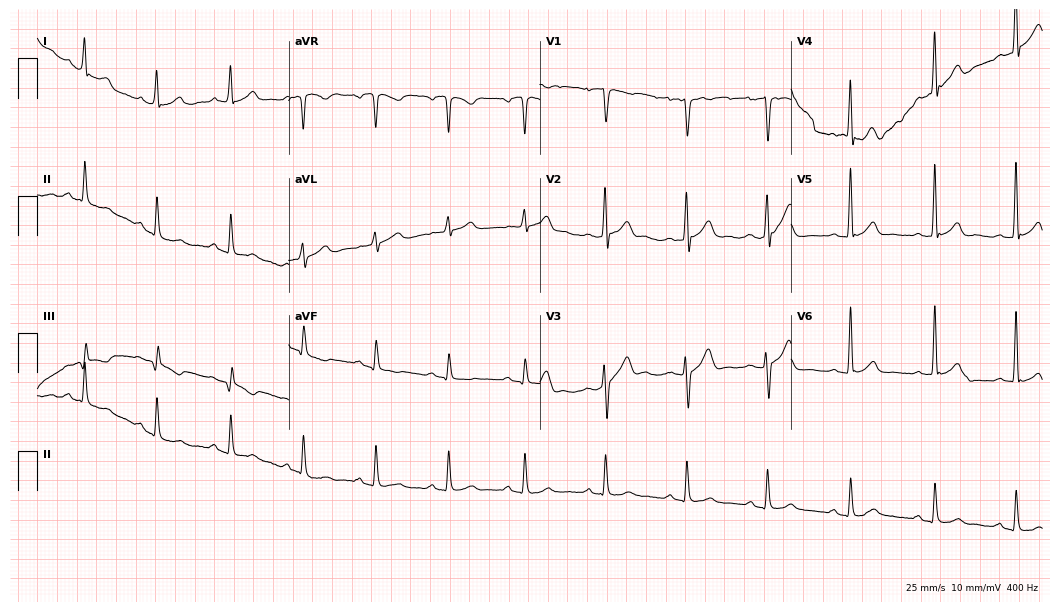
12-lead ECG from a male patient, 37 years old (10.2-second recording at 400 Hz). Recorded interpretation: within normal limits.